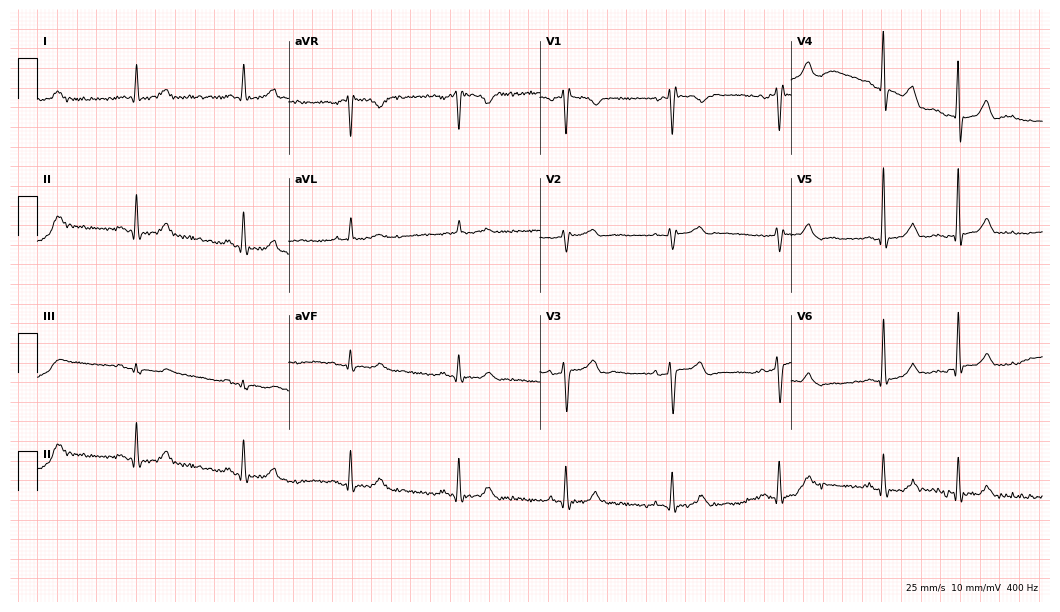
12-lead ECG (10.2-second recording at 400 Hz) from a 74-year-old man. Screened for six findings — first-degree AV block, right bundle branch block, left bundle branch block, sinus bradycardia, atrial fibrillation, sinus tachycardia — none is recorded. Only these six findings were labelled.